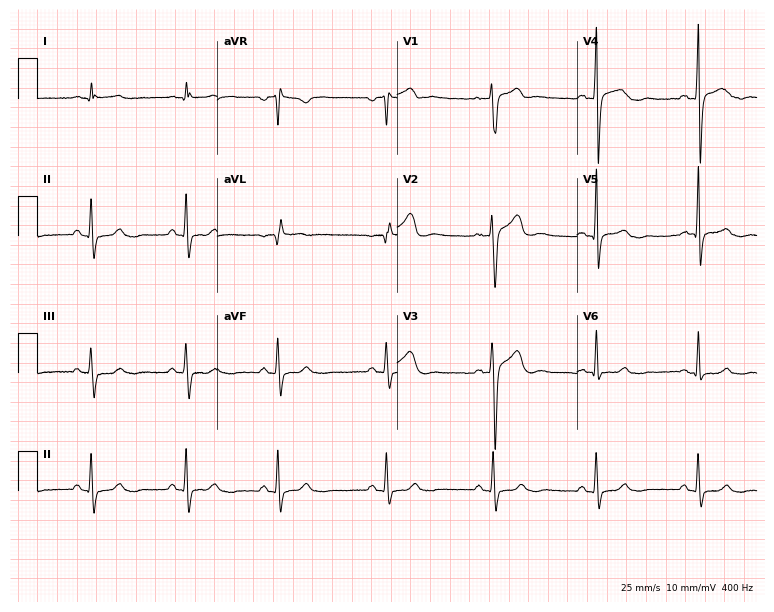
12-lead ECG (7.3-second recording at 400 Hz) from a 51-year-old male. Screened for six findings — first-degree AV block, right bundle branch block, left bundle branch block, sinus bradycardia, atrial fibrillation, sinus tachycardia — none is recorded. Other findings, if any, are not listed.